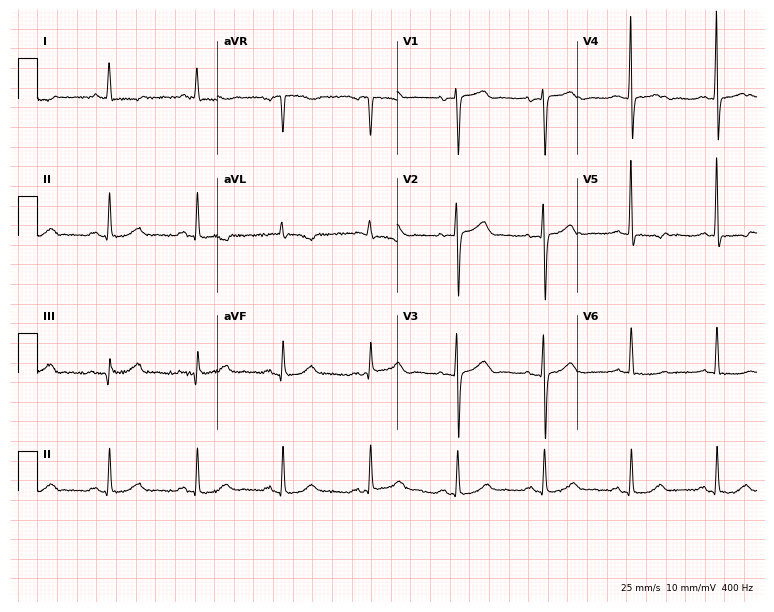
12-lead ECG from a female, 74 years old (7.3-second recording at 400 Hz). No first-degree AV block, right bundle branch block, left bundle branch block, sinus bradycardia, atrial fibrillation or sinus tachycardia recorded for this tracing. Other findings, if any, are not listed.